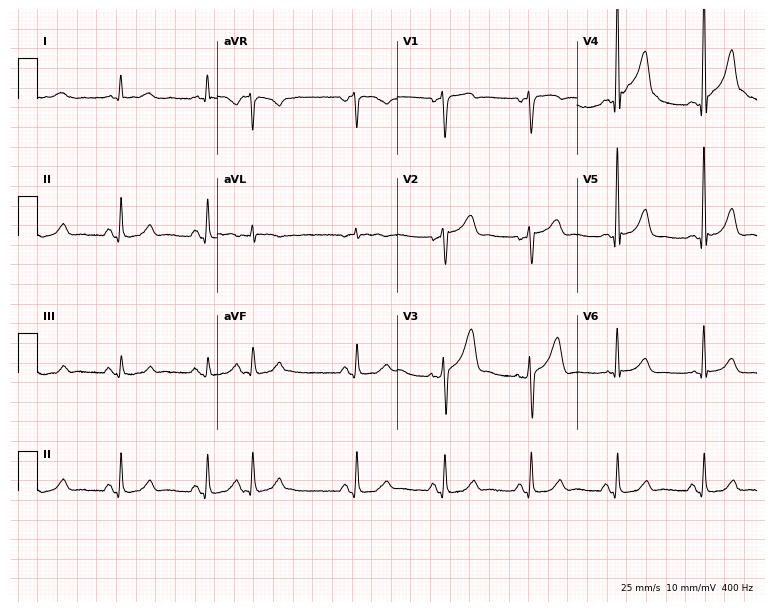
Electrocardiogram (7.3-second recording at 400 Hz), a 71-year-old female patient. Of the six screened findings (first-degree AV block, right bundle branch block, left bundle branch block, sinus bradycardia, atrial fibrillation, sinus tachycardia), none is recorded.